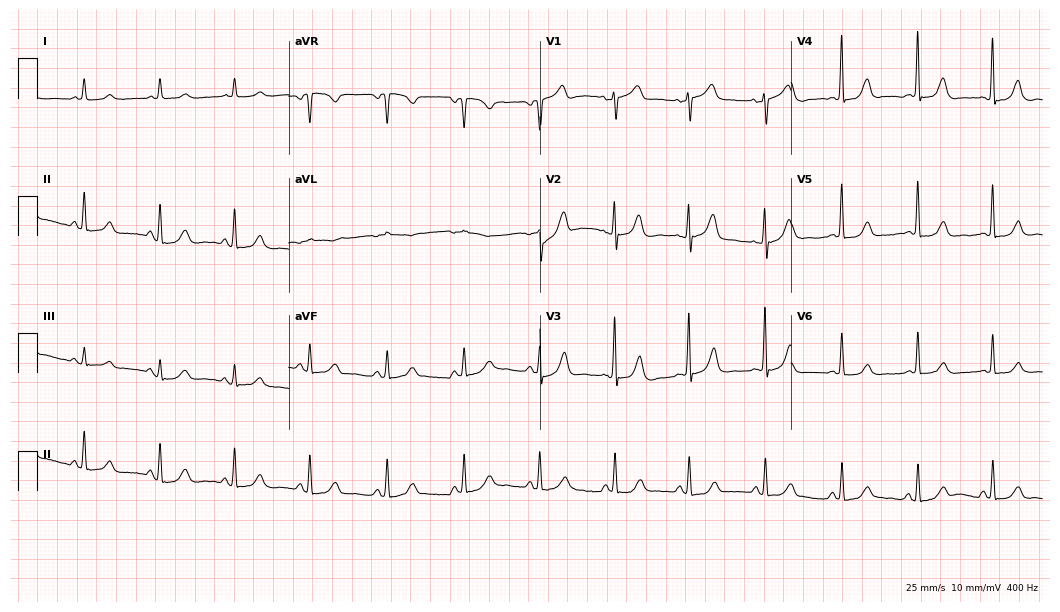
12-lead ECG from a 75-year-old woman (10.2-second recording at 400 Hz). No first-degree AV block, right bundle branch block, left bundle branch block, sinus bradycardia, atrial fibrillation or sinus tachycardia recorded for this tracing. Findings outside these six are not listed.